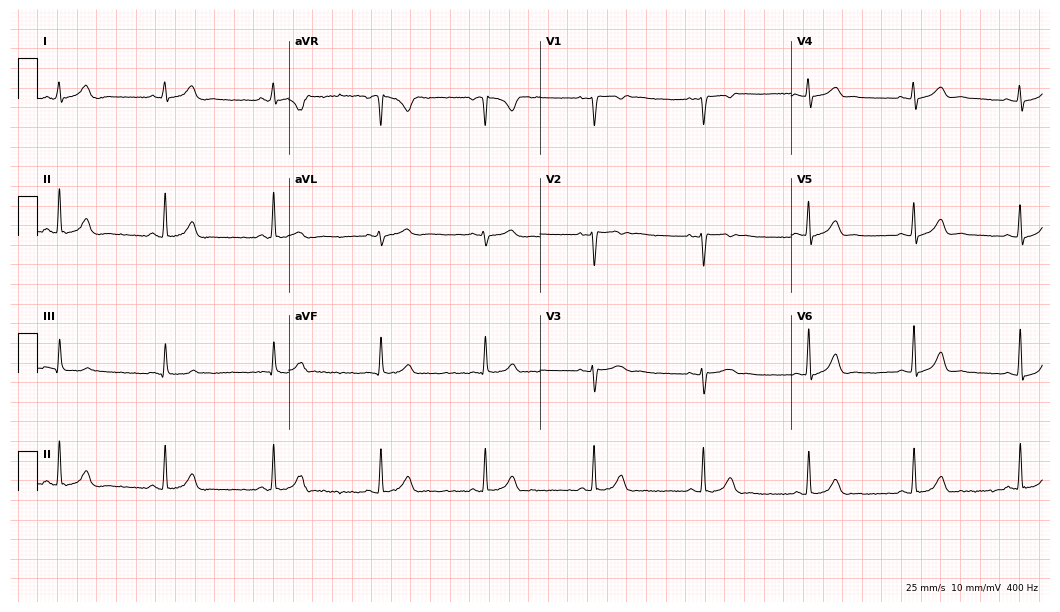
ECG — a 17-year-old woman. Labelled as a normal ECG.